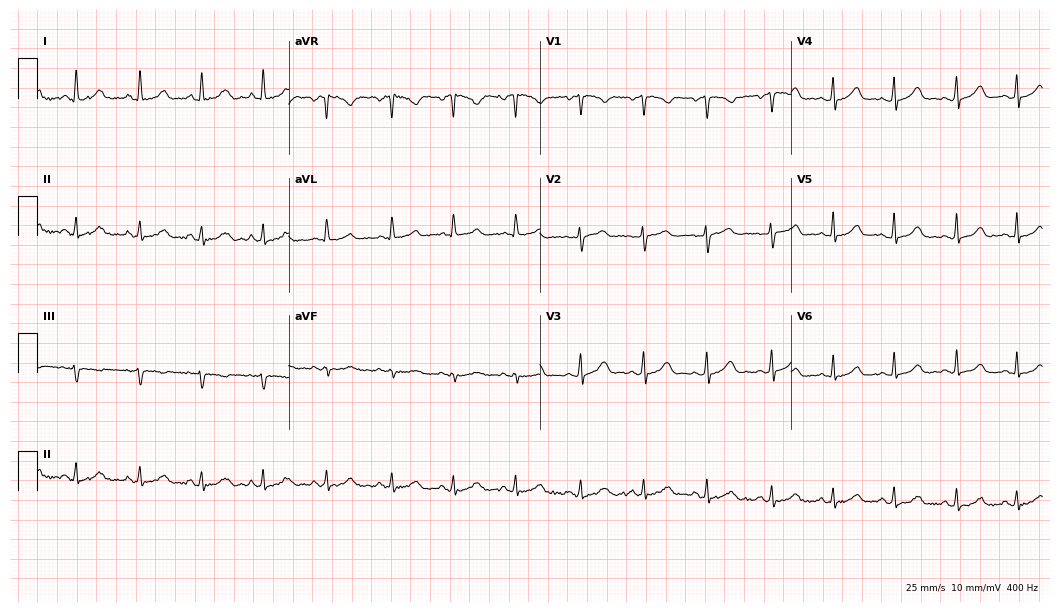
12-lead ECG from a female patient, 25 years old. Screened for six findings — first-degree AV block, right bundle branch block, left bundle branch block, sinus bradycardia, atrial fibrillation, sinus tachycardia — none is recorded. Only these six findings were labelled.